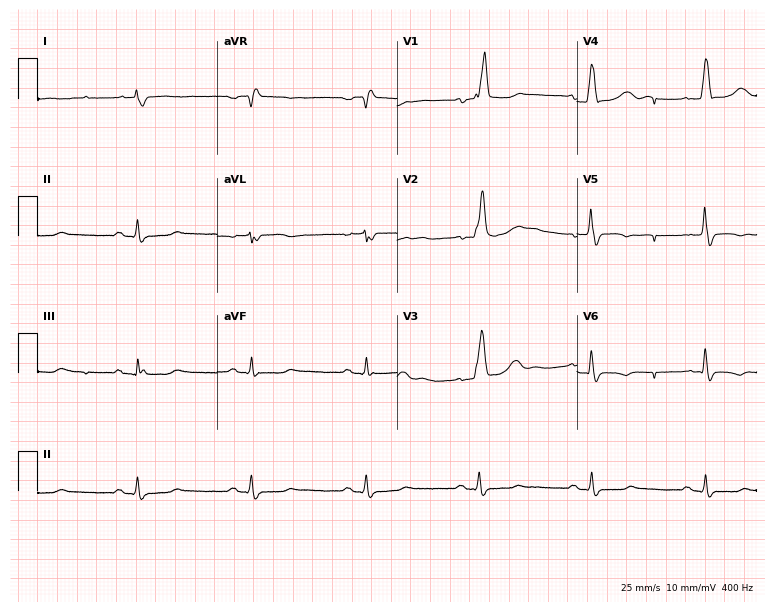
Standard 12-lead ECG recorded from a 57-year-old male (7.3-second recording at 400 Hz). The tracing shows right bundle branch block (RBBB).